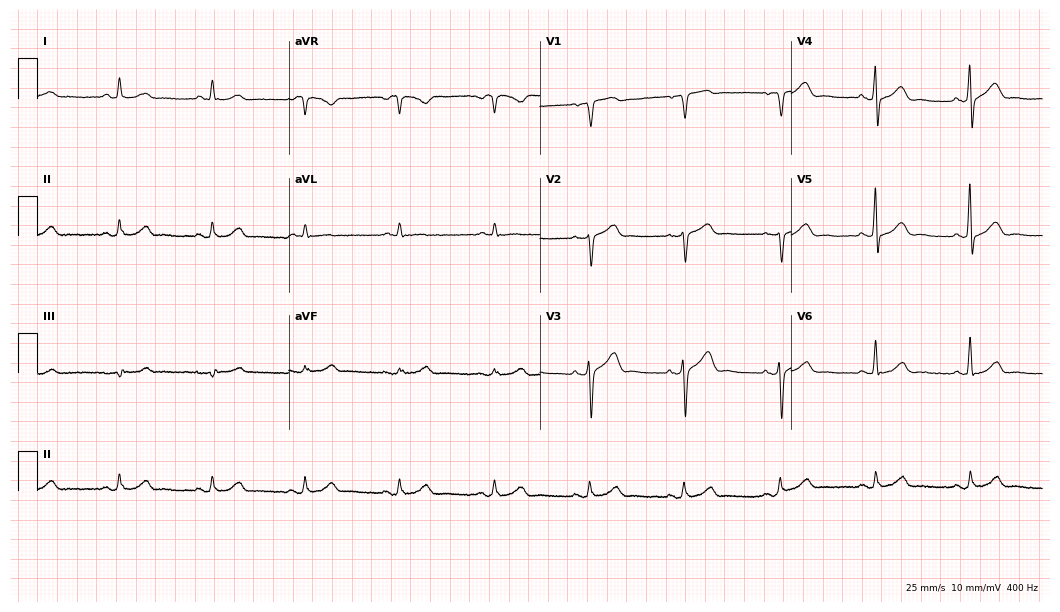
12-lead ECG (10.2-second recording at 400 Hz) from a female patient, 65 years old. Labelled as a normal ECG.